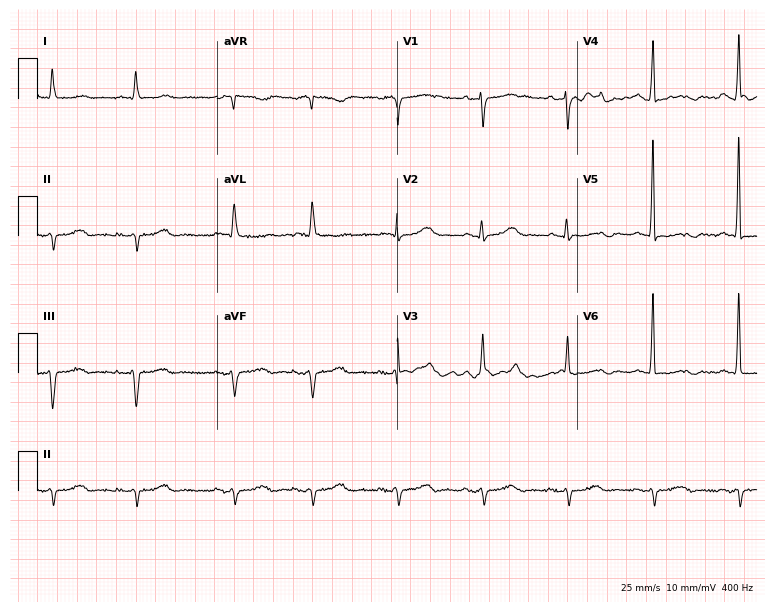
12-lead ECG from an 83-year-old man. No first-degree AV block, right bundle branch block (RBBB), left bundle branch block (LBBB), sinus bradycardia, atrial fibrillation (AF) or sinus tachycardia recorded for this tracing.